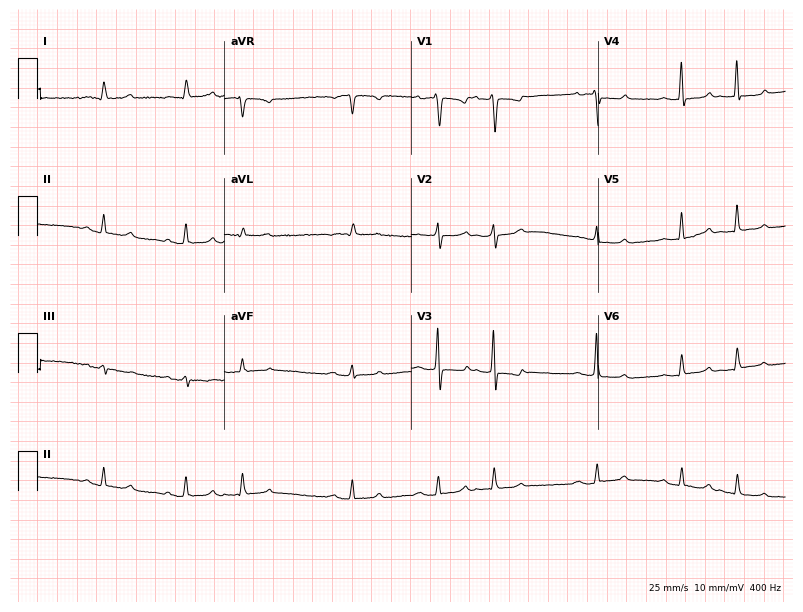
ECG (7.6-second recording at 400 Hz) — a 79-year-old woman. Screened for six findings — first-degree AV block, right bundle branch block, left bundle branch block, sinus bradycardia, atrial fibrillation, sinus tachycardia — none is recorded. Only these six findings were labelled.